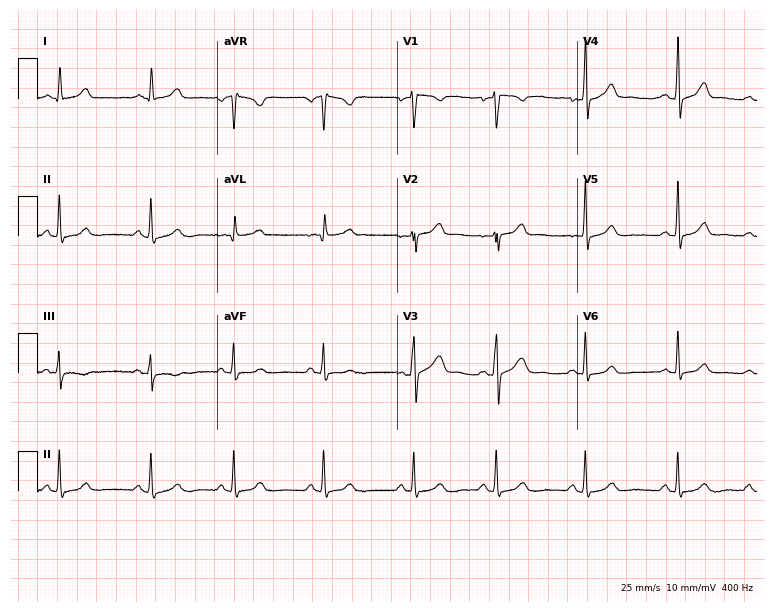
Standard 12-lead ECG recorded from an 18-year-old female patient (7.3-second recording at 400 Hz). Read as a normal ECG.